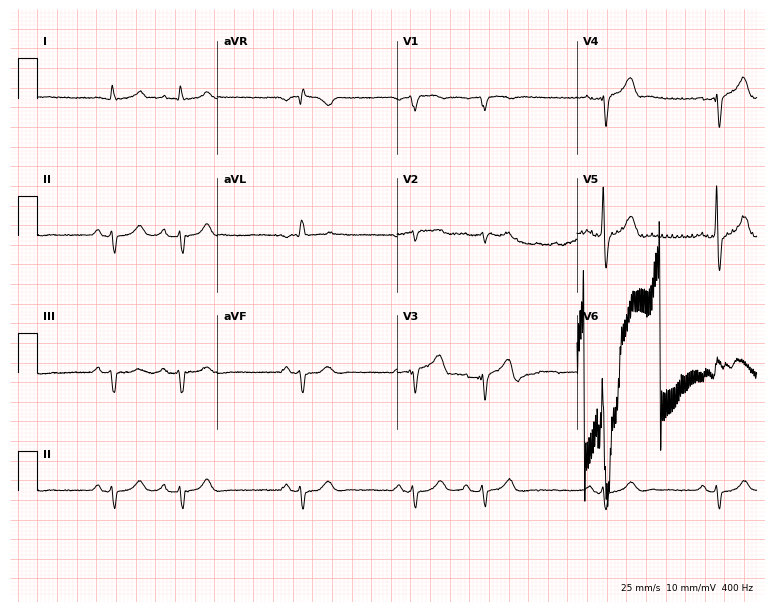
Resting 12-lead electrocardiogram (7.3-second recording at 400 Hz). Patient: an 81-year-old man. None of these six findings is recorded: first-degree AV block, right bundle branch block, left bundle branch block, sinus bradycardia, atrial fibrillation, sinus tachycardia.